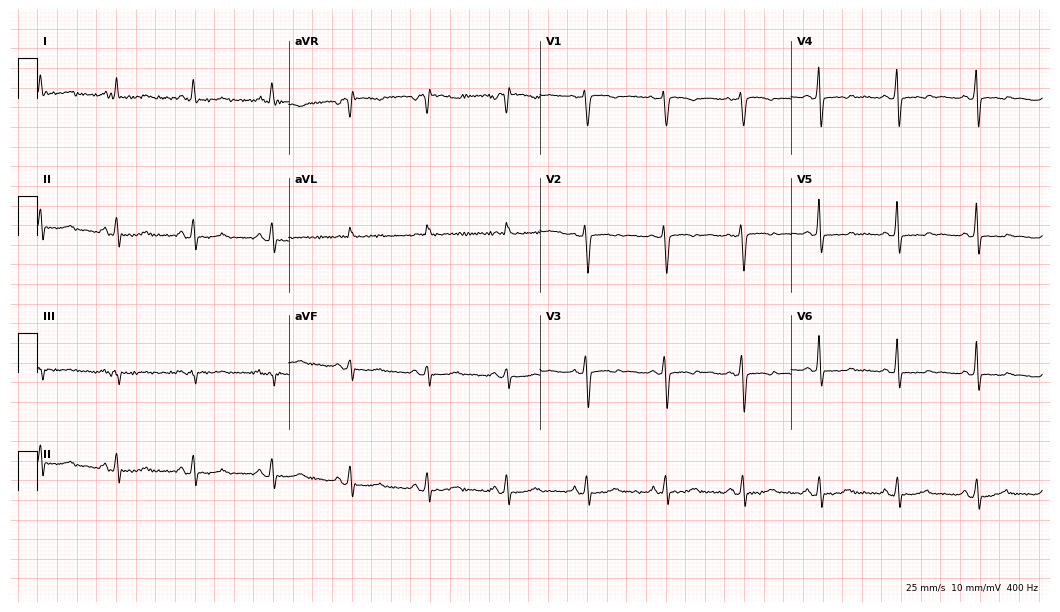
Standard 12-lead ECG recorded from a female, 76 years old (10.2-second recording at 400 Hz). Read as a normal ECG.